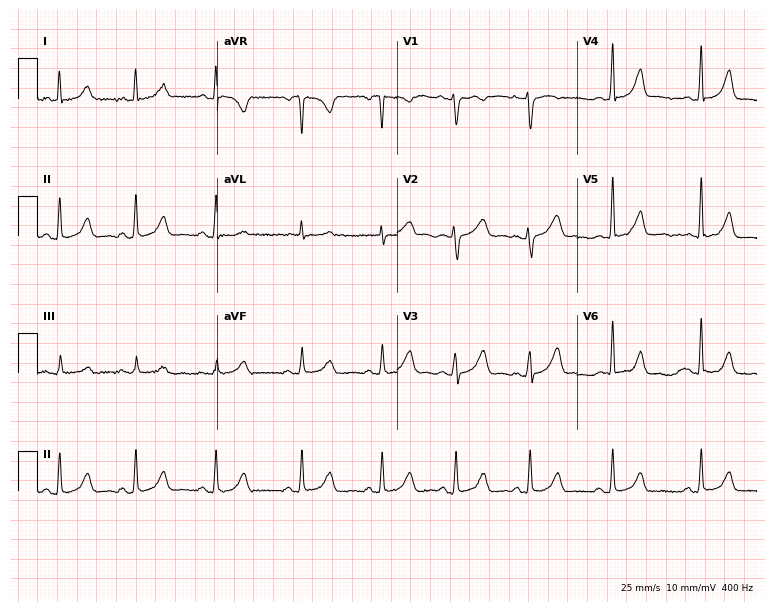
12-lead ECG (7.3-second recording at 400 Hz) from a 25-year-old female patient. Labelled as a normal ECG.